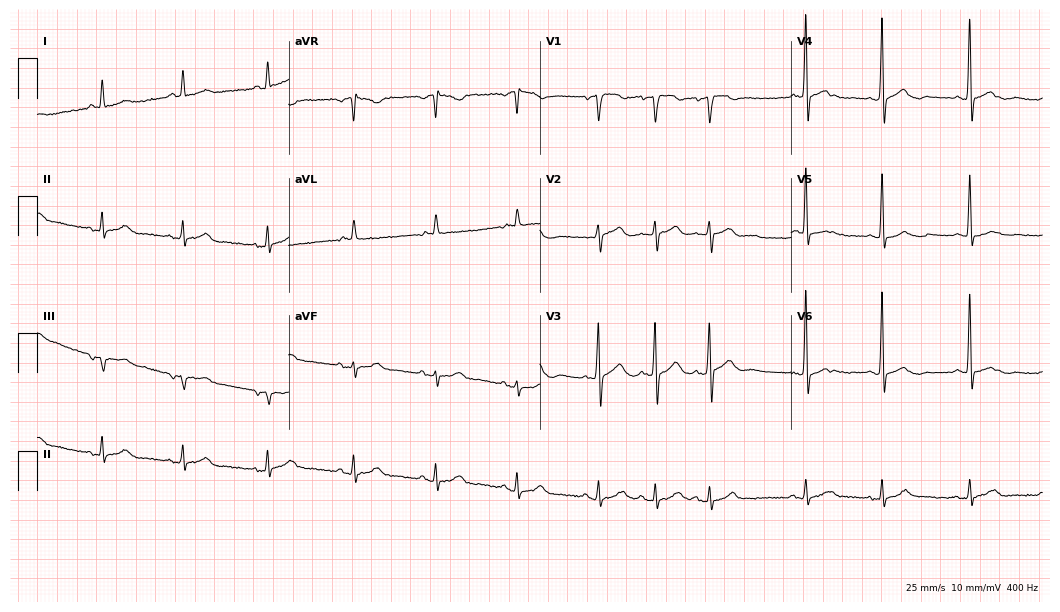
12-lead ECG from a man, 85 years old. Labelled as a normal ECG.